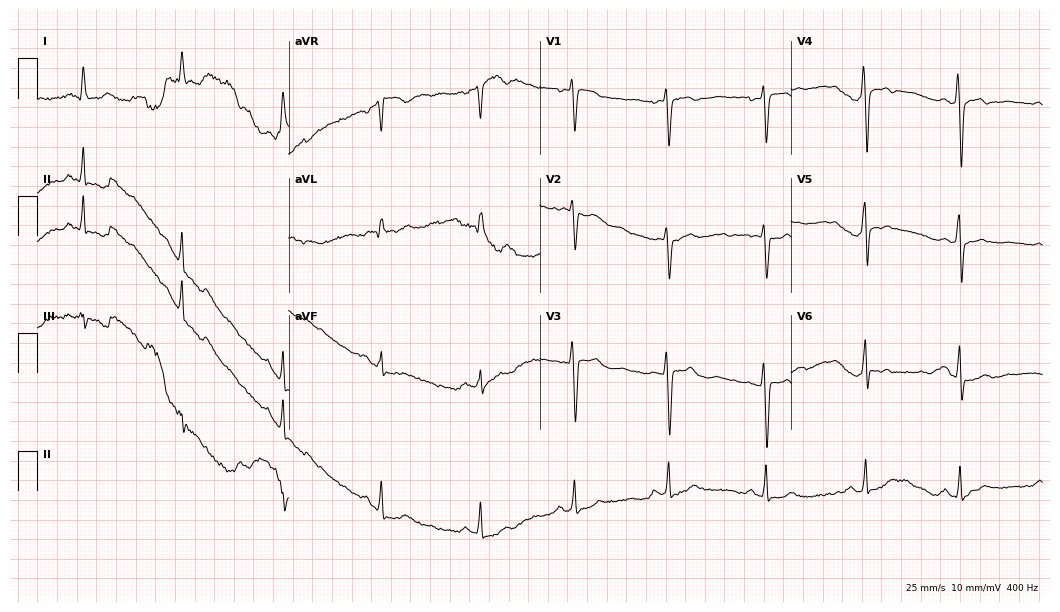
12-lead ECG from a woman, 38 years old. No first-degree AV block, right bundle branch block (RBBB), left bundle branch block (LBBB), sinus bradycardia, atrial fibrillation (AF) or sinus tachycardia recorded for this tracing. Other findings, if any, are not listed.